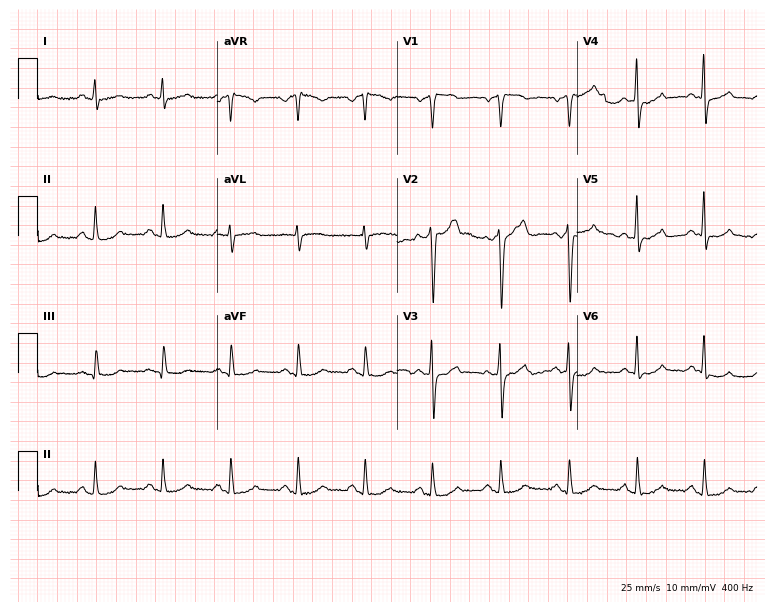
12-lead ECG from a man, 66 years old (7.3-second recording at 400 Hz). No first-degree AV block, right bundle branch block, left bundle branch block, sinus bradycardia, atrial fibrillation or sinus tachycardia recorded for this tracing.